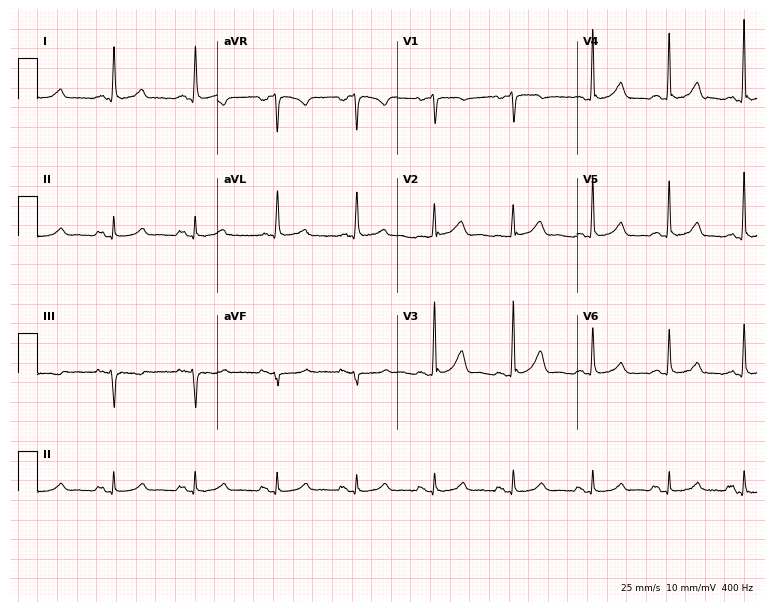
Resting 12-lead electrocardiogram (7.3-second recording at 400 Hz). Patient: a female, 59 years old. Read as a normal ECG.